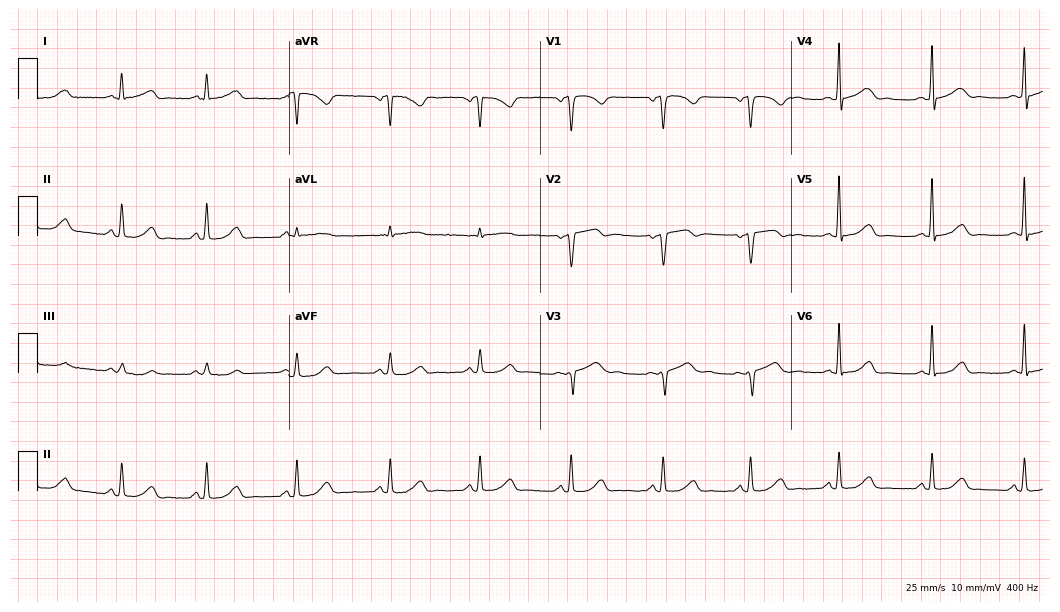
12-lead ECG from a woman, 53 years old. Screened for six findings — first-degree AV block, right bundle branch block, left bundle branch block, sinus bradycardia, atrial fibrillation, sinus tachycardia — none is recorded.